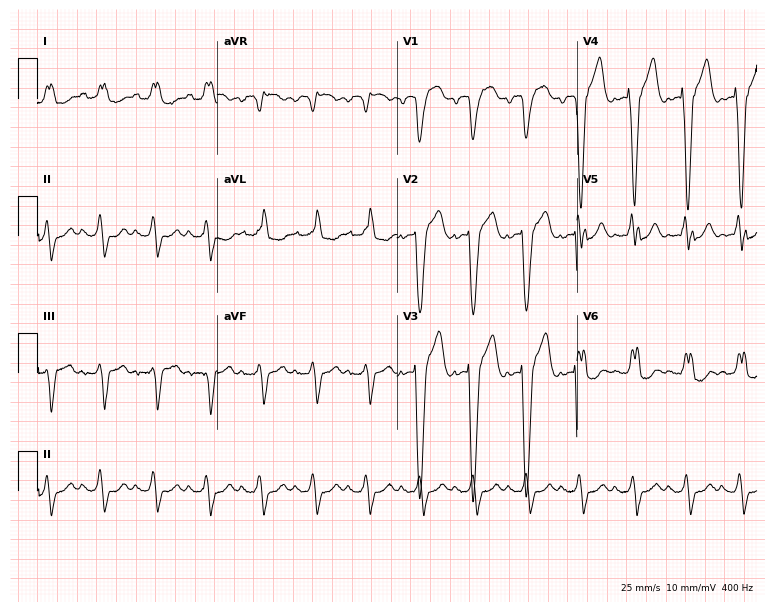
12-lead ECG from a woman, 35 years old (7.3-second recording at 400 Hz). Shows left bundle branch block (LBBB), sinus tachycardia (a sinus rate of 100 beats per minute or more).